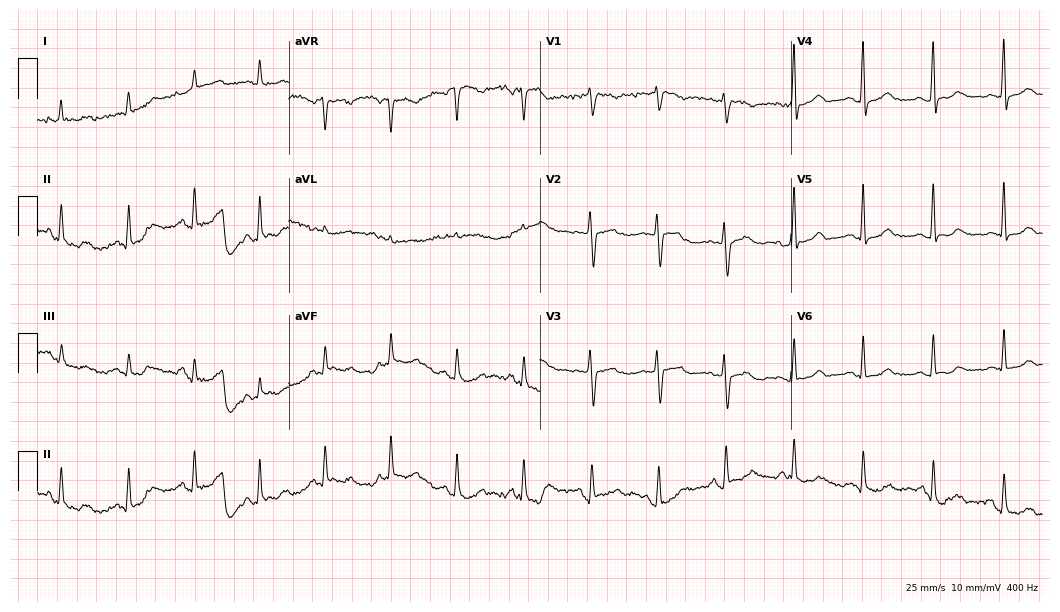
12-lead ECG (10.2-second recording at 400 Hz) from a 62-year-old female. Screened for six findings — first-degree AV block, right bundle branch block, left bundle branch block, sinus bradycardia, atrial fibrillation, sinus tachycardia — none is recorded.